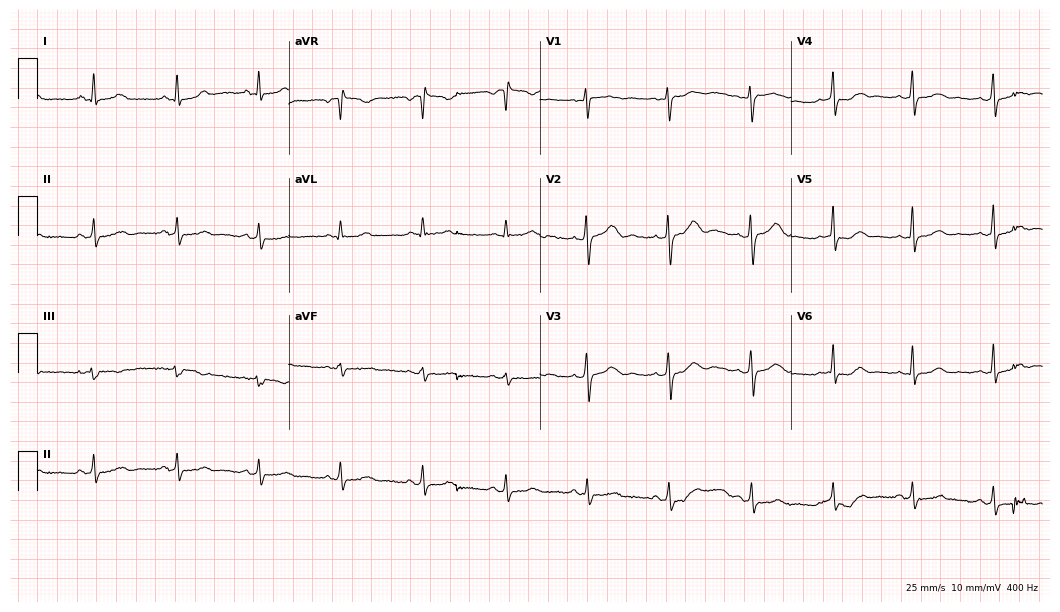
ECG (10.2-second recording at 400 Hz) — a female patient, 22 years old. Labelled as a normal ECG.